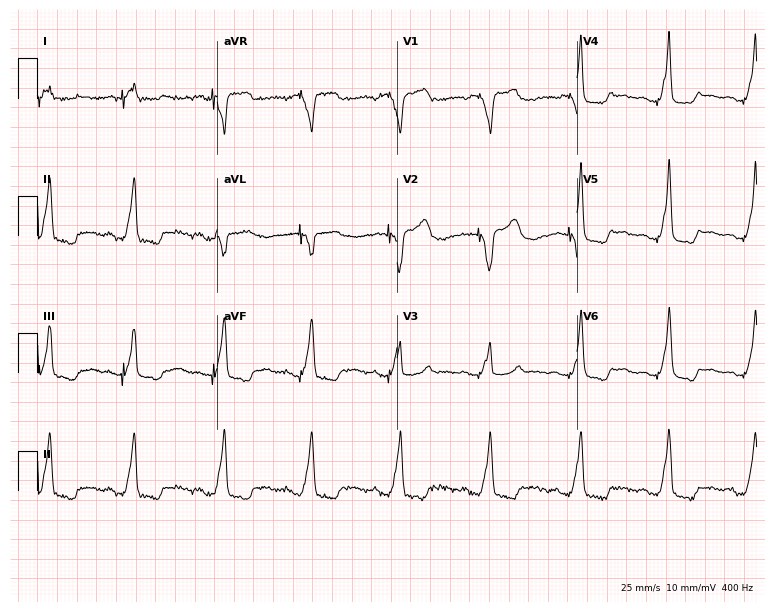
Standard 12-lead ECG recorded from a female patient, 78 years old (7.3-second recording at 400 Hz). None of these six findings is recorded: first-degree AV block, right bundle branch block (RBBB), left bundle branch block (LBBB), sinus bradycardia, atrial fibrillation (AF), sinus tachycardia. Other findings, if any, are not listed.